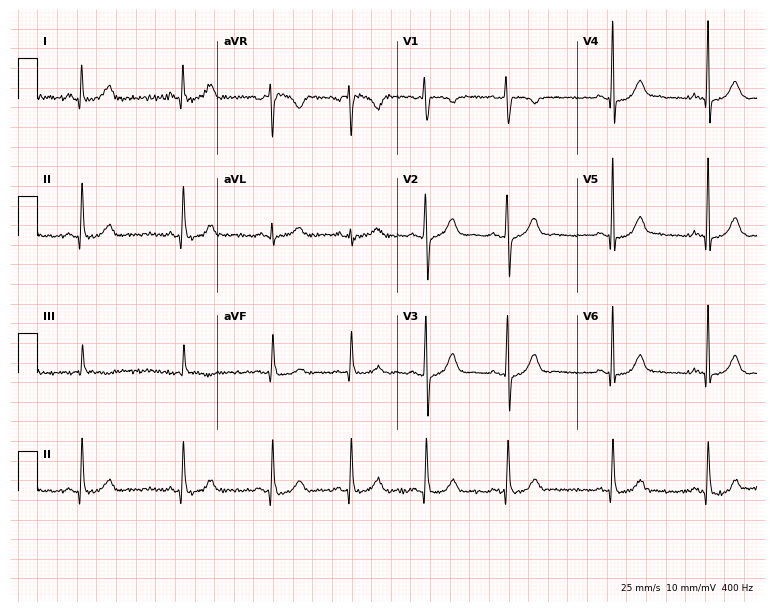
12-lead ECG (7.3-second recording at 400 Hz) from a woman, 28 years old. Labelled as a normal ECG.